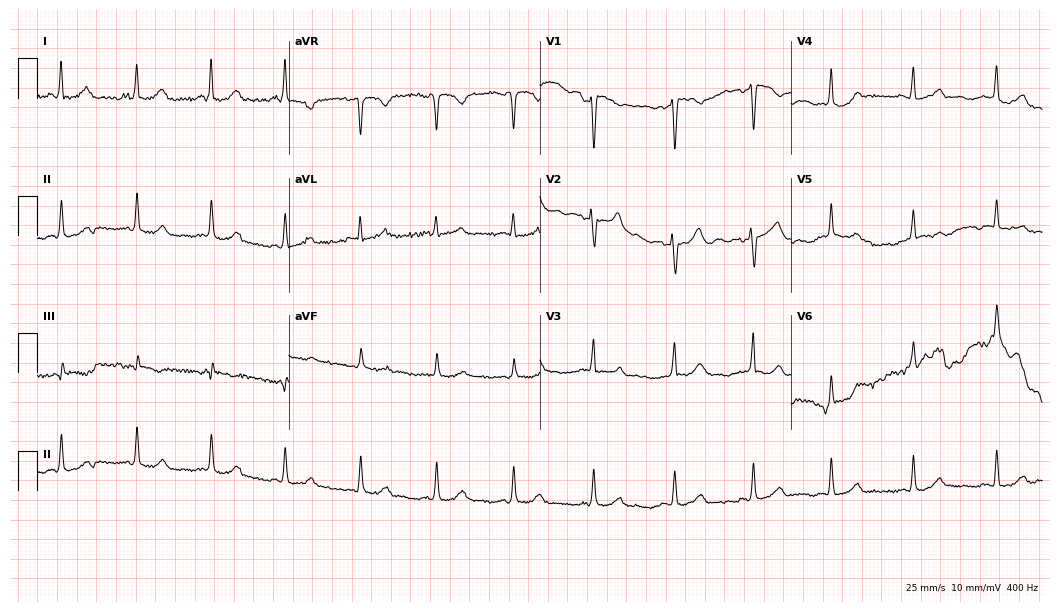
ECG (10.2-second recording at 400 Hz) — a female patient, 55 years old. Screened for six findings — first-degree AV block, right bundle branch block (RBBB), left bundle branch block (LBBB), sinus bradycardia, atrial fibrillation (AF), sinus tachycardia — none is recorded. Other findings, if any, are not listed.